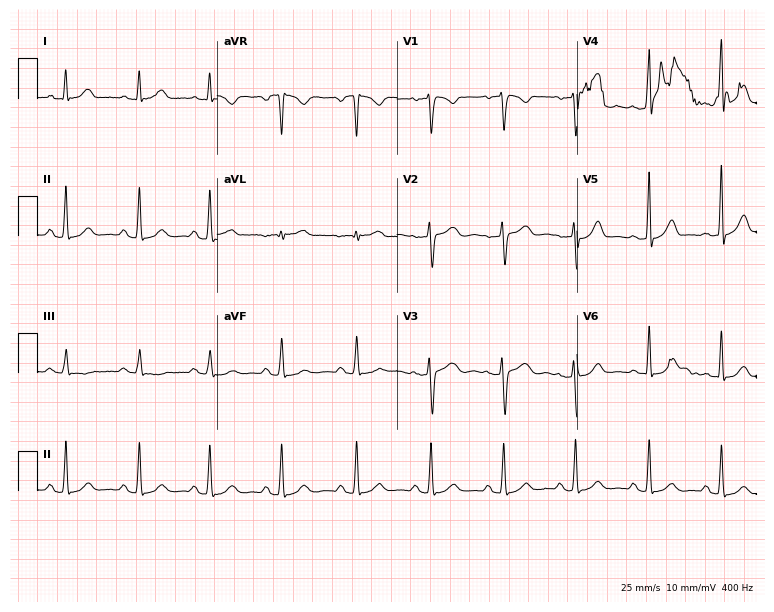
12-lead ECG from a female patient, 25 years old. Screened for six findings — first-degree AV block, right bundle branch block, left bundle branch block, sinus bradycardia, atrial fibrillation, sinus tachycardia — none is recorded. Other findings, if any, are not listed.